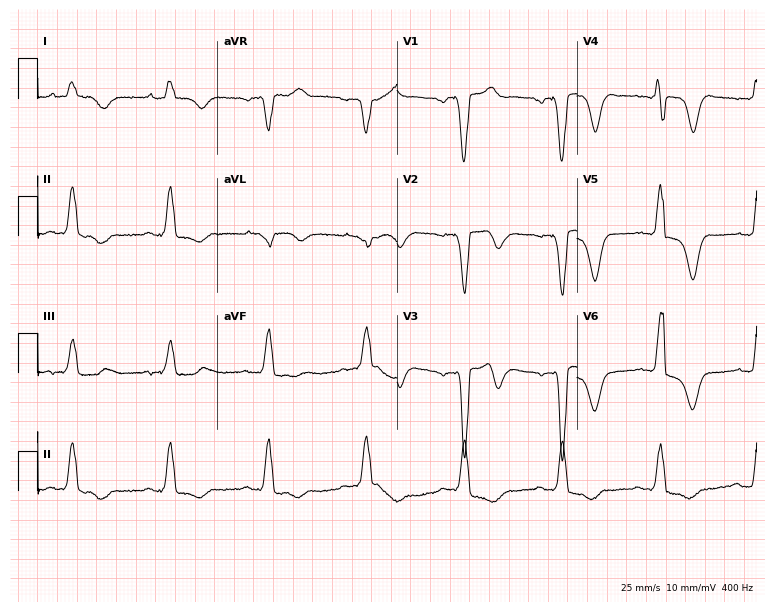
12-lead ECG from a female, 84 years old. Shows left bundle branch block.